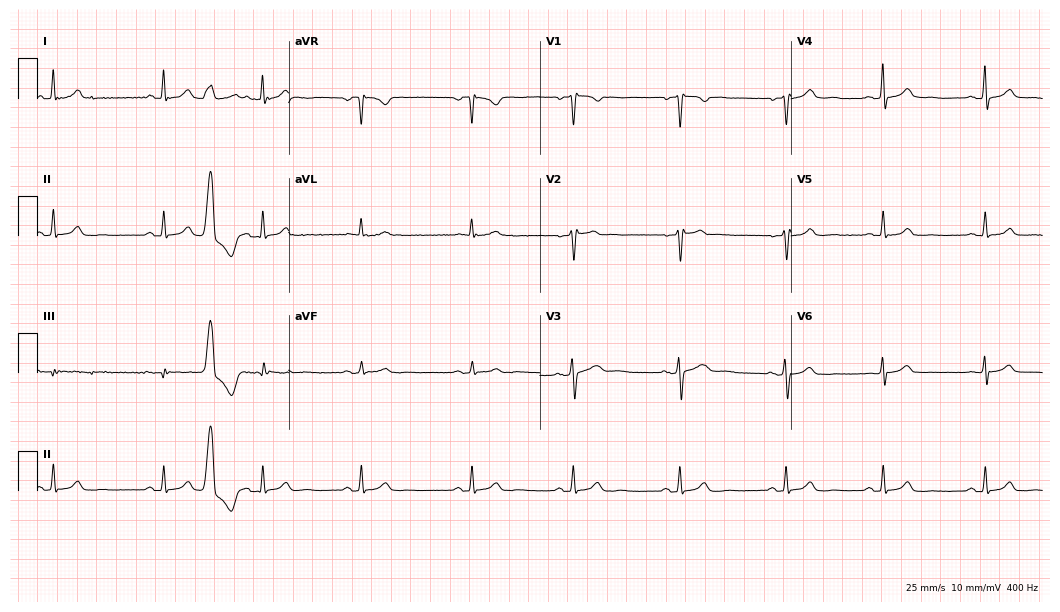
Resting 12-lead electrocardiogram (10.2-second recording at 400 Hz). Patient: a 44-year-old female. None of these six findings is recorded: first-degree AV block, right bundle branch block, left bundle branch block, sinus bradycardia, atrial fibrillation, sinus tachycardia.